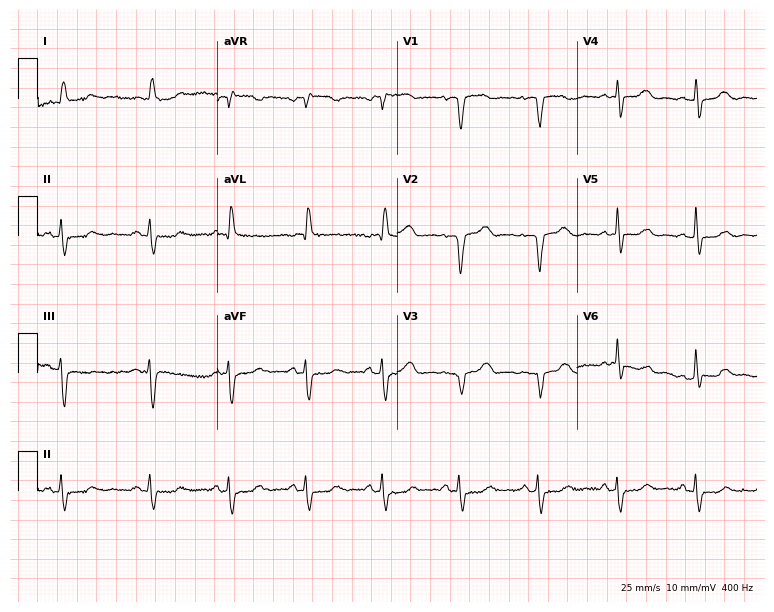
Resting 12-lead electrocardiogram. Patient: a woman, 70 years old. None of these six findings is recorded: first-degree AV block, right bundle branch block, left bundle branch block, sinus bradycardia, atrial fibrillation, sinus tachycardia.